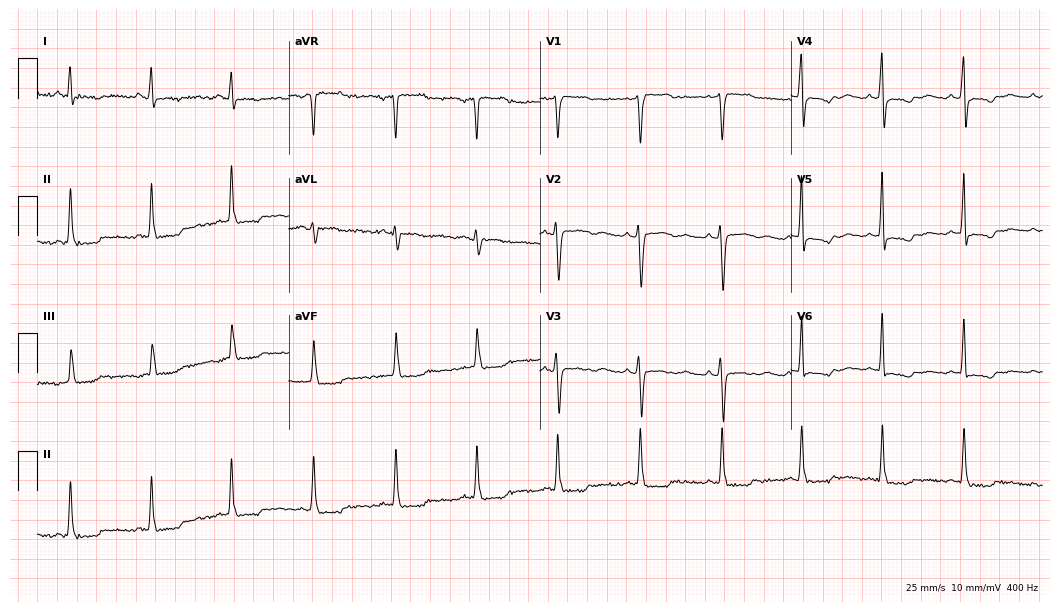
Standard 12-lead ECG recorded from a 63-year-old female patient (10.2-second recording at 400 Hz). None of these six findings is recorded: first-degree AV block, right bundle branch block, left bundle branch block, sinus bradycardia, atrial fibrillation, sinus tachycardia.